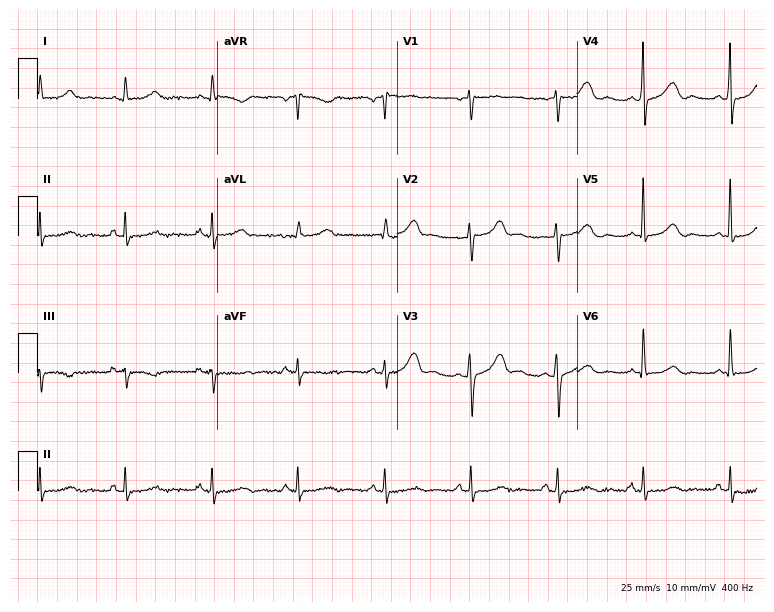
Electrocardiogram (7.3-second recording at 400 Hz), a 50-year-old female. Overall reading on record: normal ECG.